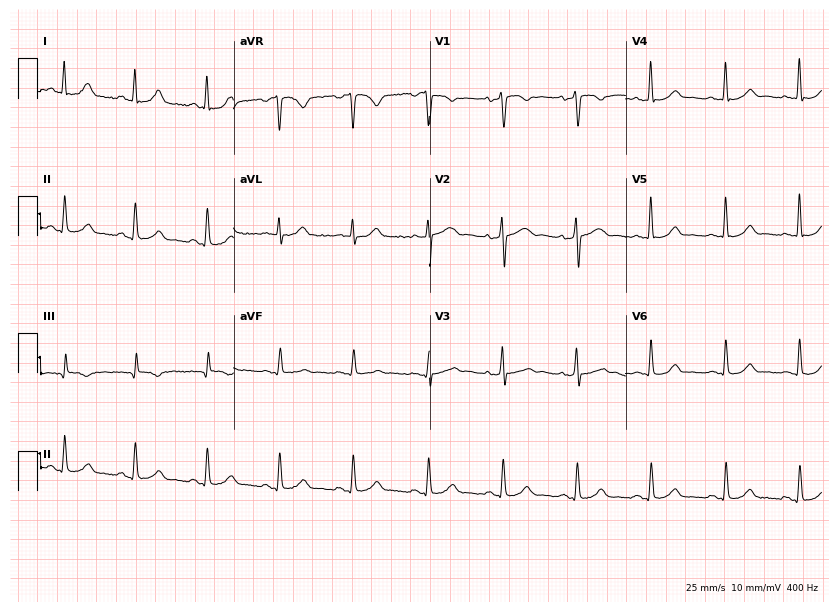
12-lead ECG from a woman, 38 years old. Recorded interpretation: within normal limits.